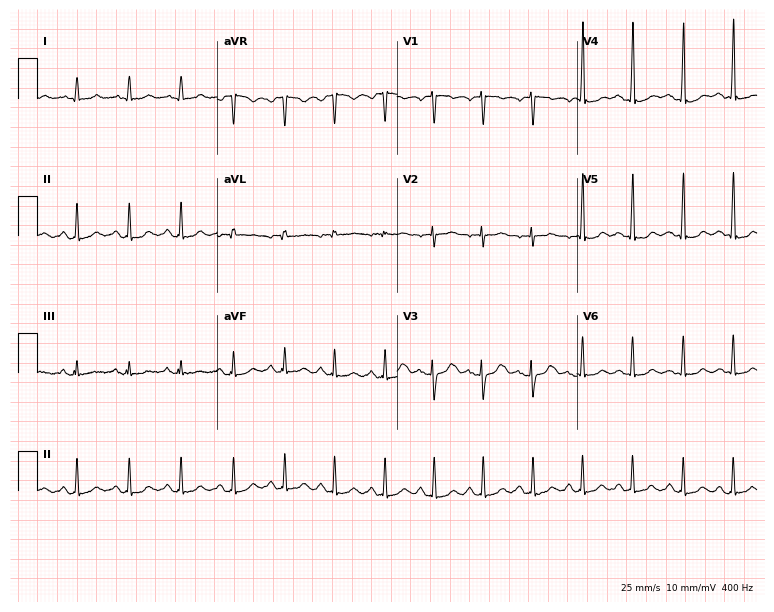
Resting 12-lead electrocardiogram (7.3-second recording at 400 Hz). Patient: a female, 33 years old. The tracing shows sinus tachycardia (a sinus rate of 100 beats per minute or more).